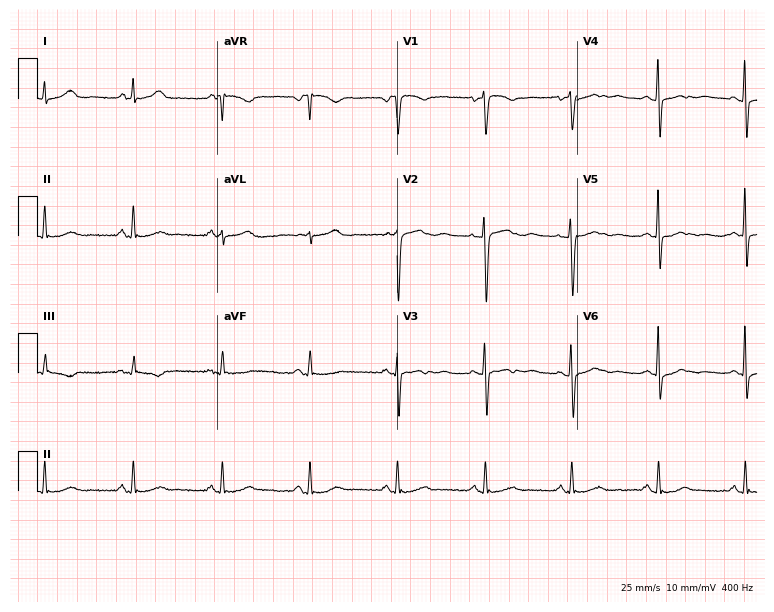
Electrocardiogram, a 51-year-old female. Of the six screened findings (first-degree AV block, right bundle branch block (RBBB), left bundle branch block (LBBB), sinus bradycardia, atrial fibrillation (AF), sinus tachycardia), none is recorded. Only these six findings were labelled.